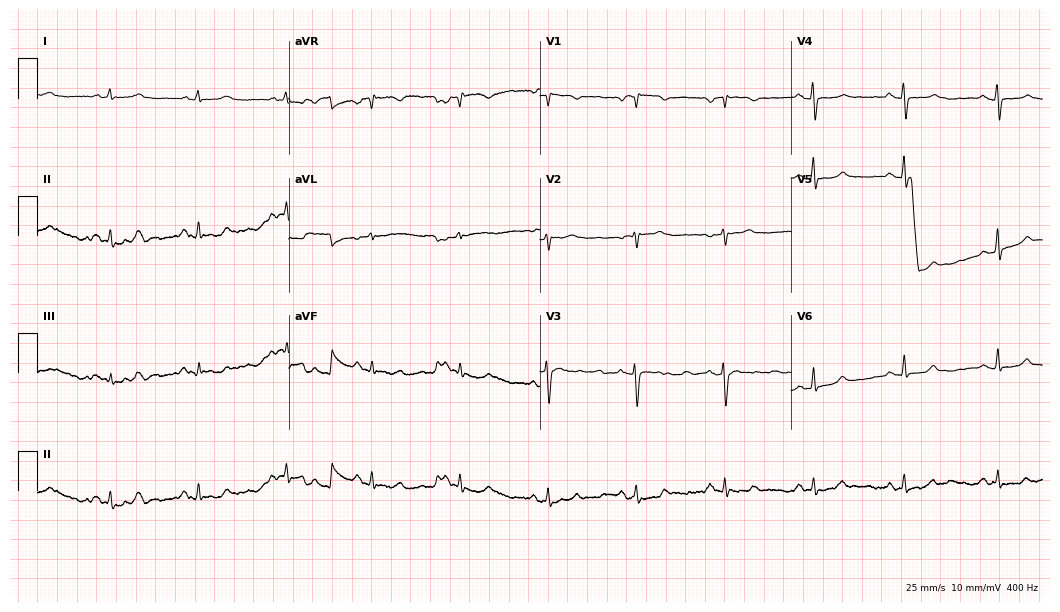
12-lead ECG from a 60-year-old female (10.2-second recording at 400 Hz). No first-degree AV block, right bundle branch block (RBBB), left bundle branch block (LBBB), sinus bradycardia, atrial fibrillation (AF) or sinus tachycardia recorded for this tracing. Only these six findings were labelled.